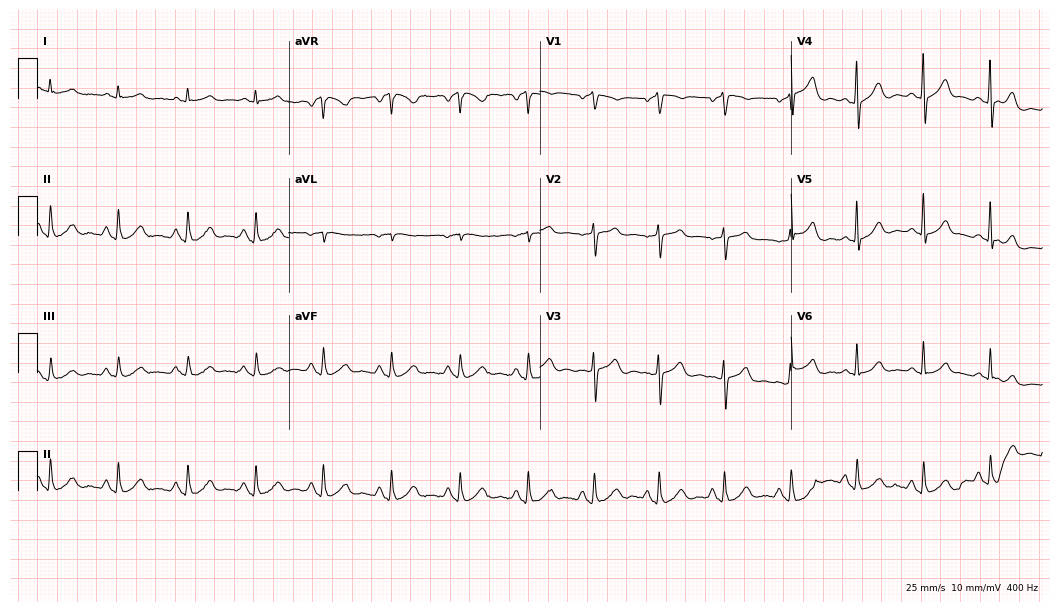
Standard 12-lead ECG recorded from a 71-year-old female patient (10.2-second recording at 400 Hz). Read as a normal ECG.